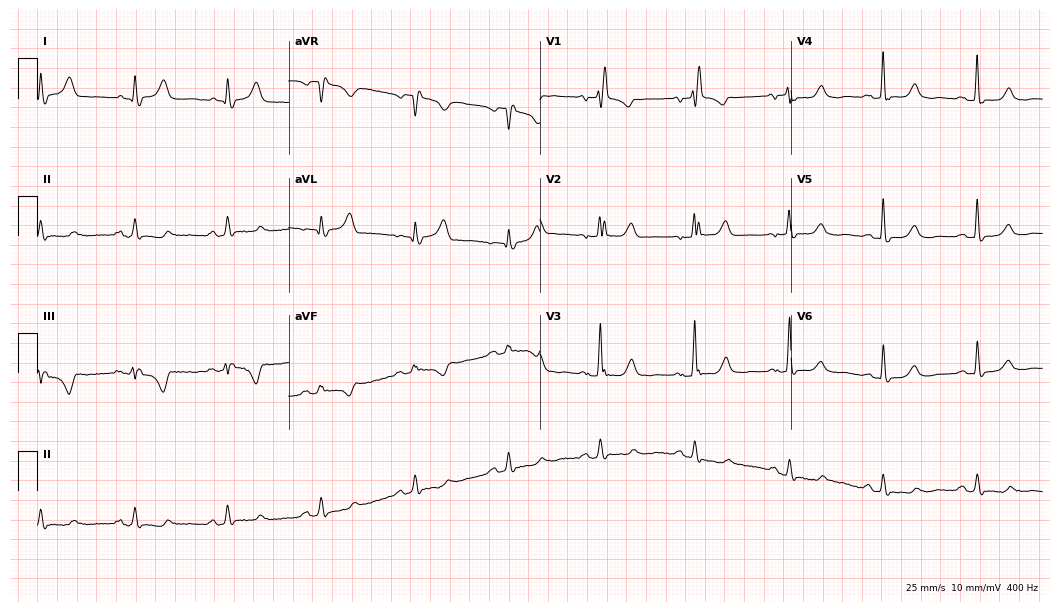
12-lead ECG from an 85-year-old female patient (10.2-second recording at 400 Hz). Shows right bundle branch block.